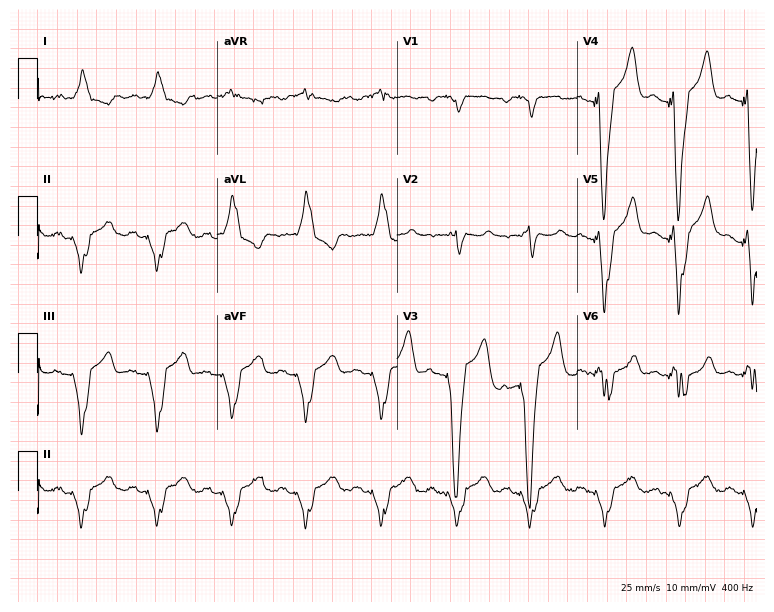
12-lead ECG from a 69-year-old male. Screened for six findings — first-degree AV block, right bundle branch block (RBBB), left bundle branch block (LBBB), sinus bradycardia, atrial fibrillation (AF), sinus tachycardia — none is recorded.